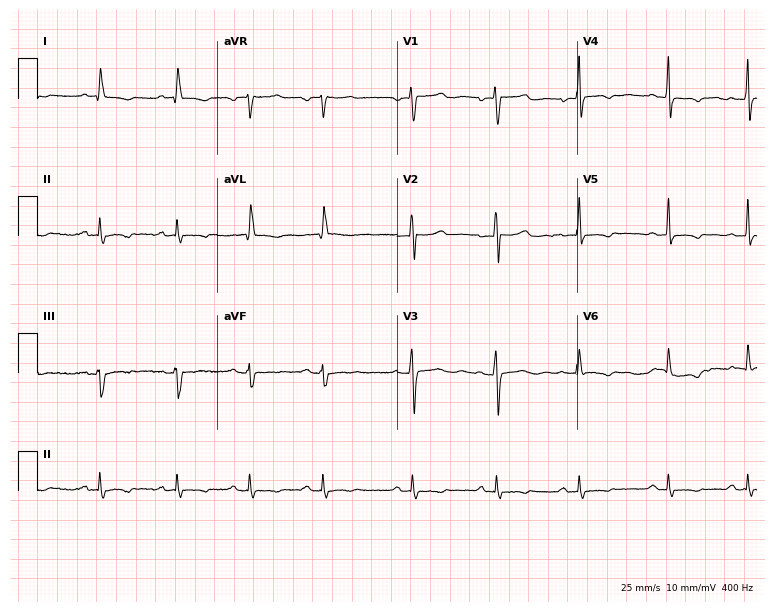
Resting 12-lead electrocardiogram. Patient: a woman, 41 years old. None of these six findings is recorded: first-degree AV block, right bundle branch block, left bundle branch block, sinus bradycardia, atrial fibrillation, sinus tachycardia.